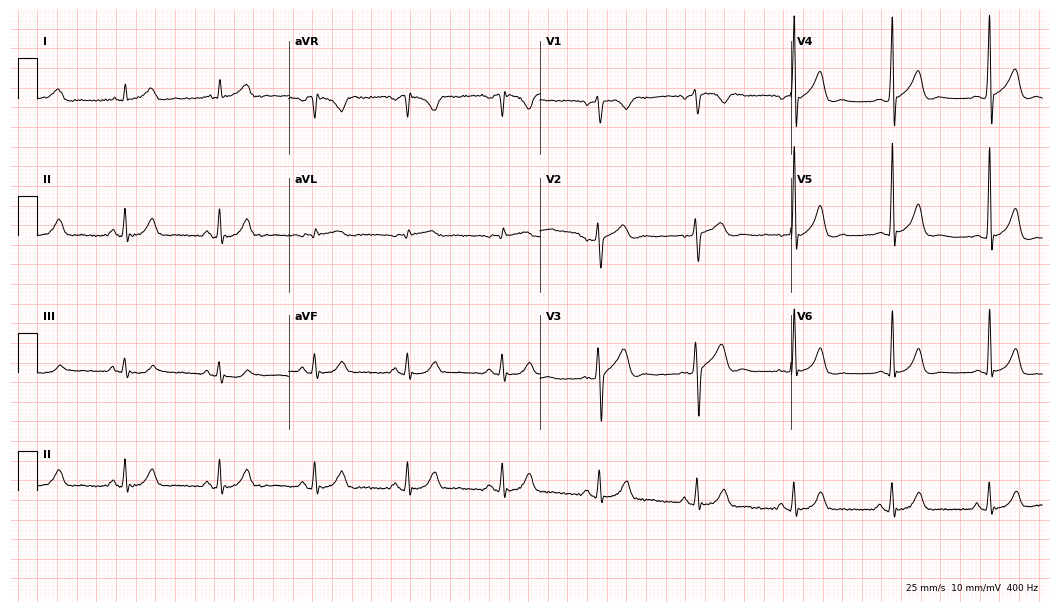
Electrocardiogram, a 58-year-old man. Of the six screened findings (first-degree AV block, right bundle branch block, left bundle branch block, sinus bradycardia, atrial fibrillation, sinus tachycardia), none is recorded. Only these six findings were labelled.